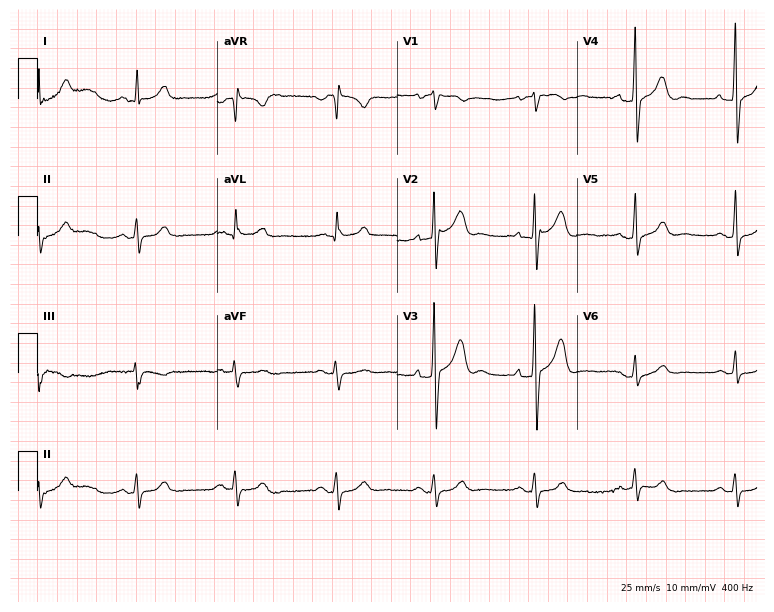
ECG (7.3-second recording at 400 Hz) — a 75-year-old man. Screened for six findings — first-degree AV block, right bundle branch block (RBBB), left bundle branch block (LBBB), sinus bradycardia, atrial fibrillation (AF), sinus tachycardia — none is recorded.